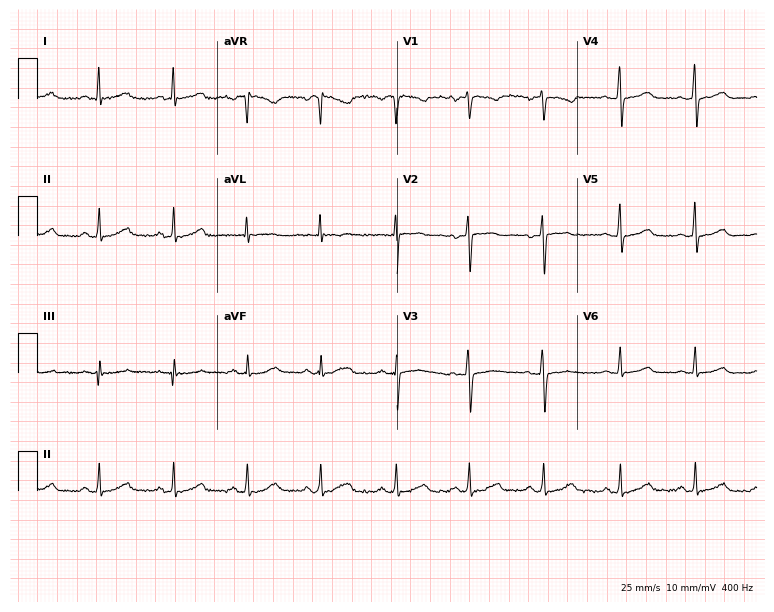
12-lead ECG from a 41-year-old female. Recorded interpretation: within normal limits.